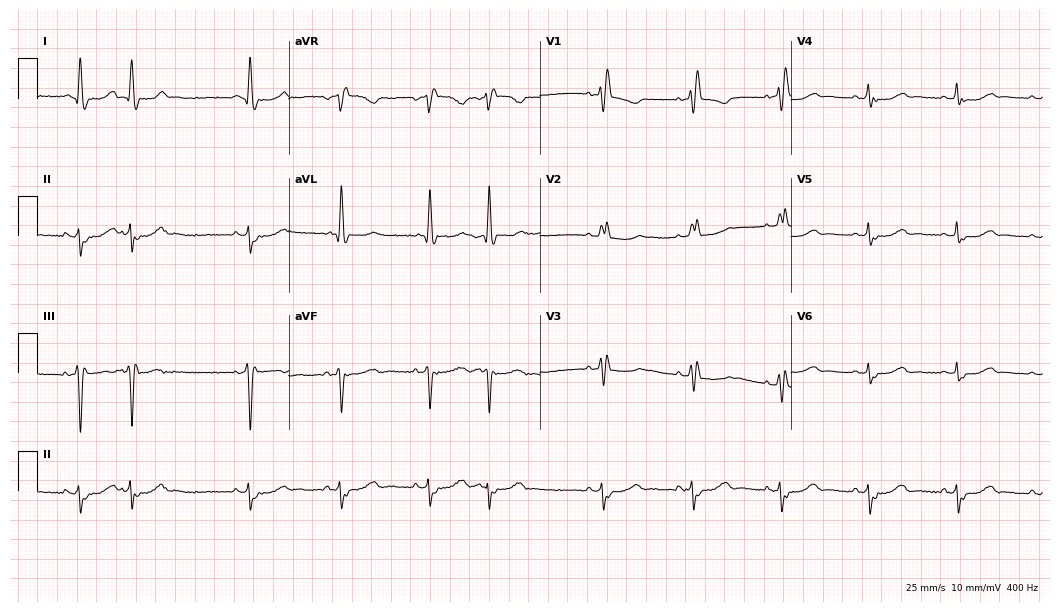
ECG — a female, 66 years old. Screened for six findings — first-degree AV block, right bundle branch block, left bundle branch block, sinus bradycardia, atrial fibrillation, sinus tachycardia — none is recorded. Other findings, if any, are not listed.